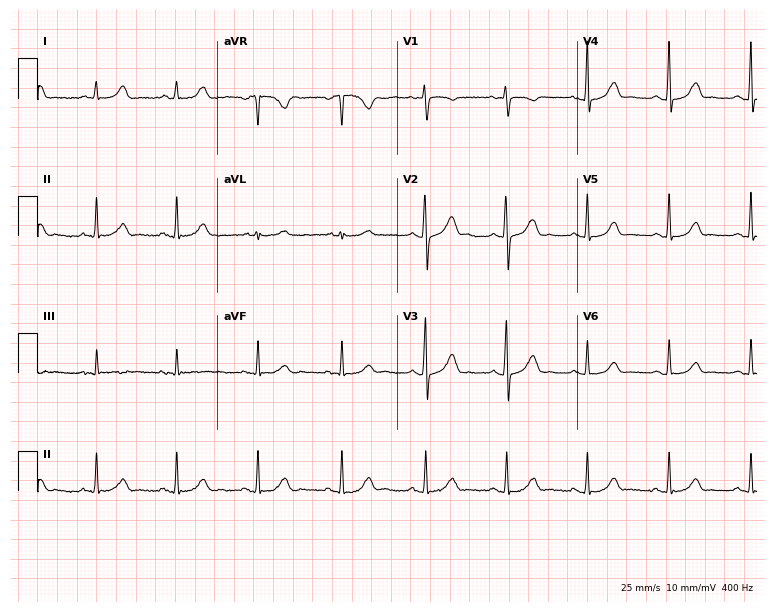
Standard 12-lead ECG recorded from a woman, 36 years old. Read as a normal ECG.